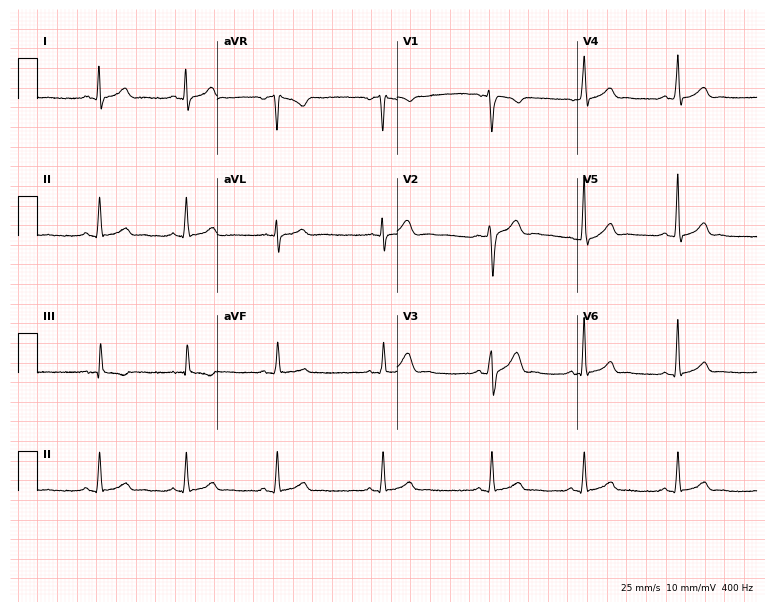
ECG (7.3-second recording at 400 Hz) — a male patient, 24 years old. Screened for six findings — first-degree AV block, right bundle branch block, left bundle branch block, sinus bradycardia, atrial fibrillation, sinus tachycardia — none is recorded.